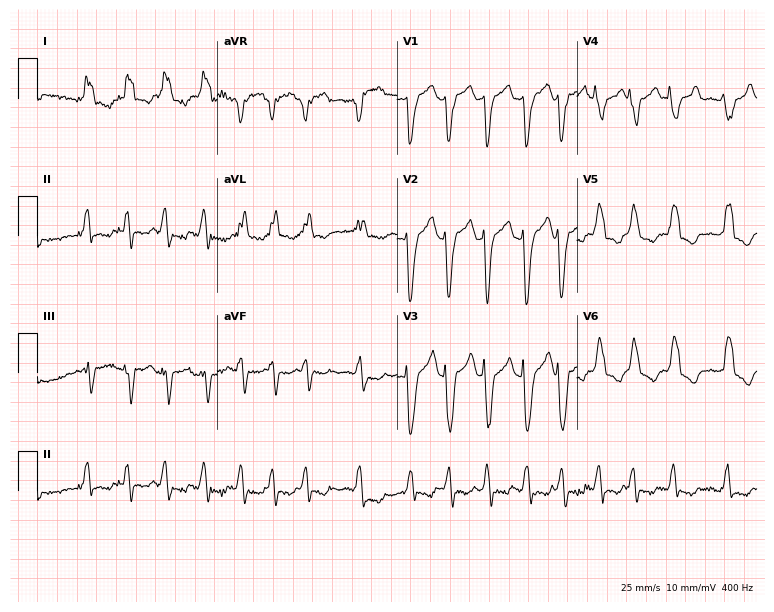
Resting 12-lead electrocardiogram (7.3-second recording at 400 Hz). Patient: a 77-year-old female. The tracing shows left bundle branch block, atrial fibrillation.